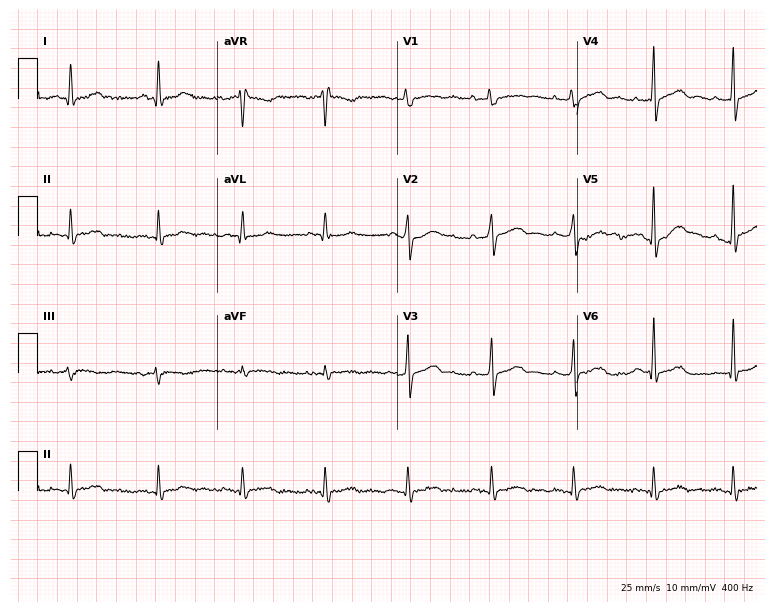
12-lead ECG from a male, 44 years old. Screened for six findings — first-degree AV block, right bundle branch block, left bundle branch block, sinus bradycardia, atrial fibrillation, sinus tachycardia — none is recorded.